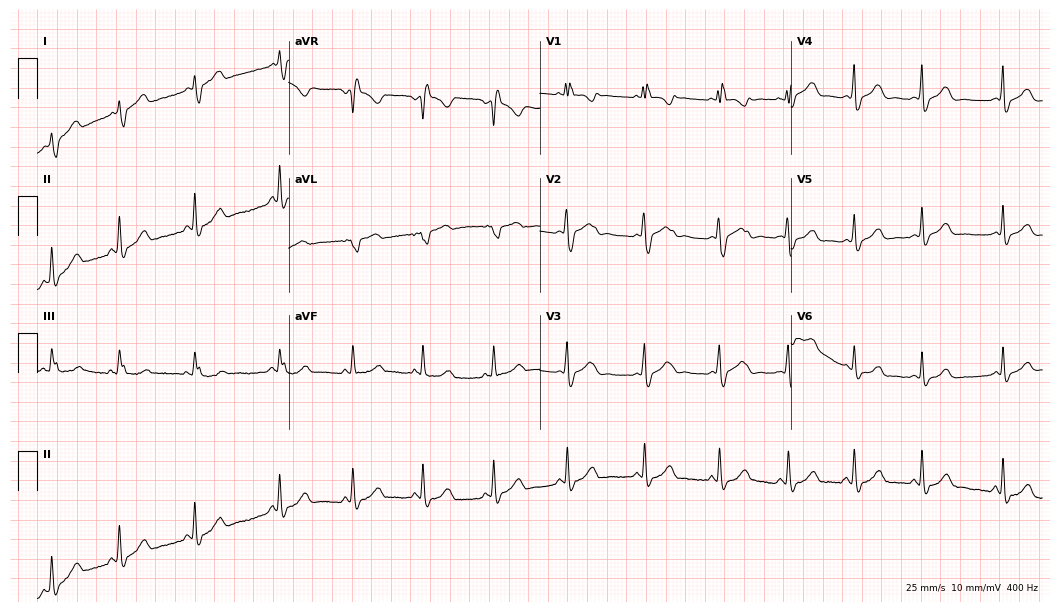
12-lead ECG from a female patient, 33 years old. No first-degree AV block, right bundle branch block (RBBB), left bundle branch block (LBBB), sinus bradycardia, atrial fibrillation (AF) or sinus tachycardia recorded for this tracing.